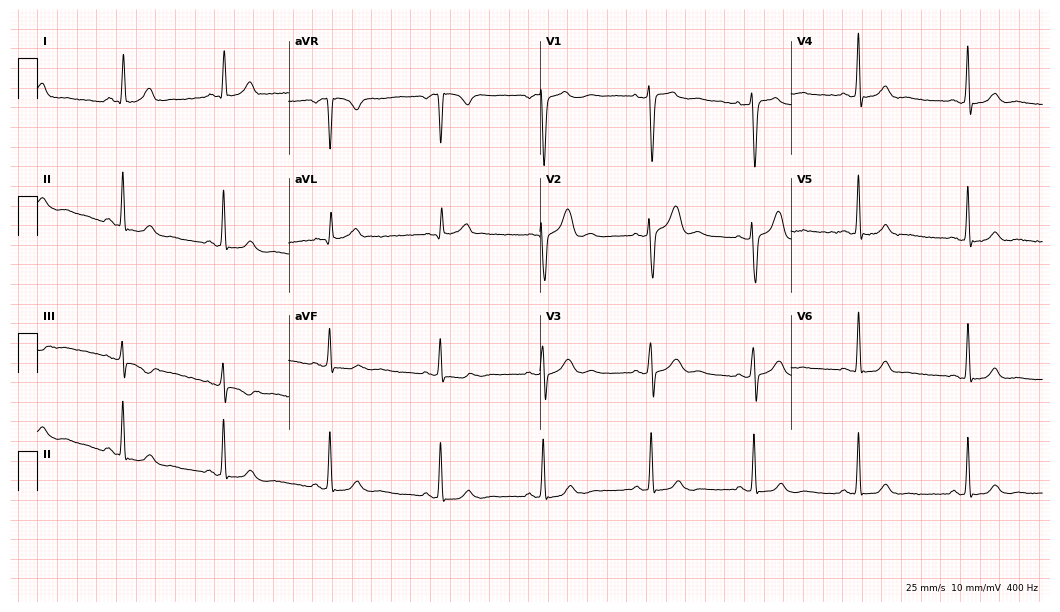
12-lead ECG (10.2-second recording at 400 Hz) from a male, 28 years old. Labelled as a normal ECG.